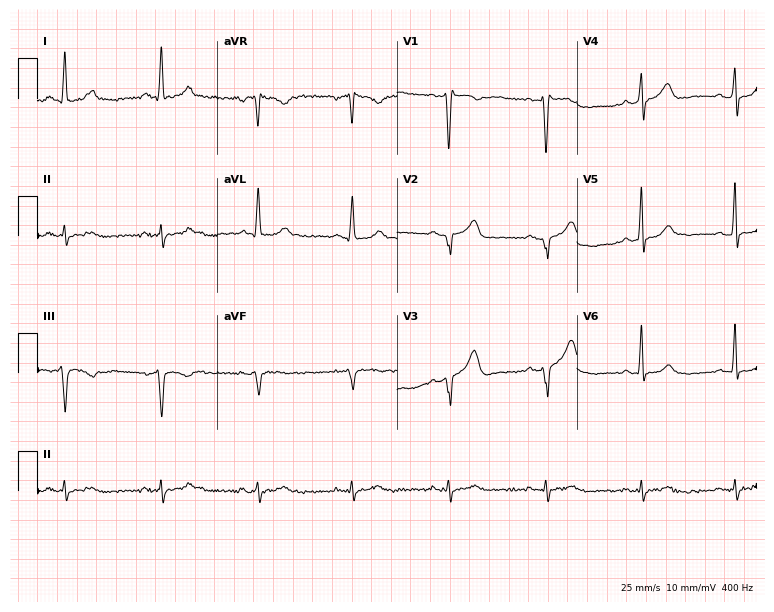
Electrocardiogram (7.3-second recording at 400 Hz), a man, 53 years old. Of the six screened findings (first-degree AV block, right bundle branch block (RBBB), left bundle branch block (LBBB), sinus bradycardia, atrial fibrillation (AF), sinus tachycardia), none is recorded. Other findings, if any, are not listed.